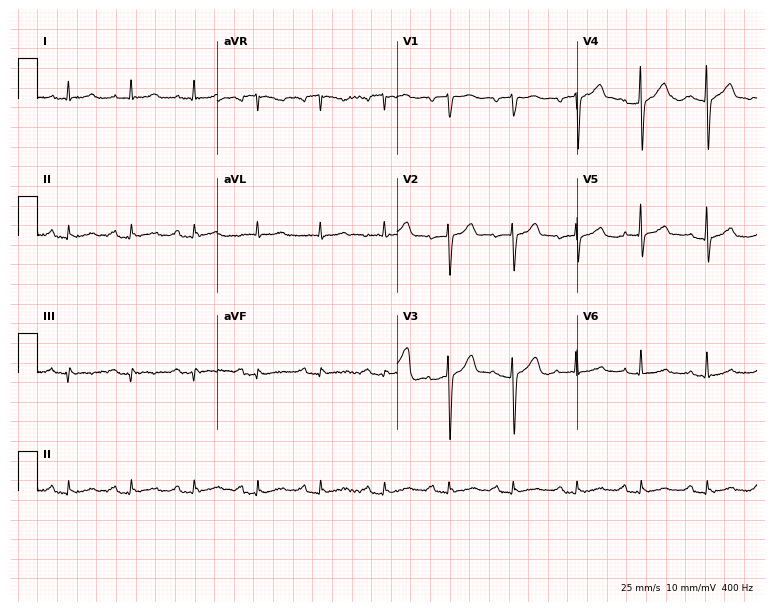
Standard 12-lead ECG recorded from a male patient, 62 years old. None of these six findings is recorded: first-degree AV block, right bundle branch block (RBBB), left bundle branch block (LBBB), sinus bradycardia, atrial fibrillation (AF), sinus tachycardia. Other findings, if any, are not listed.